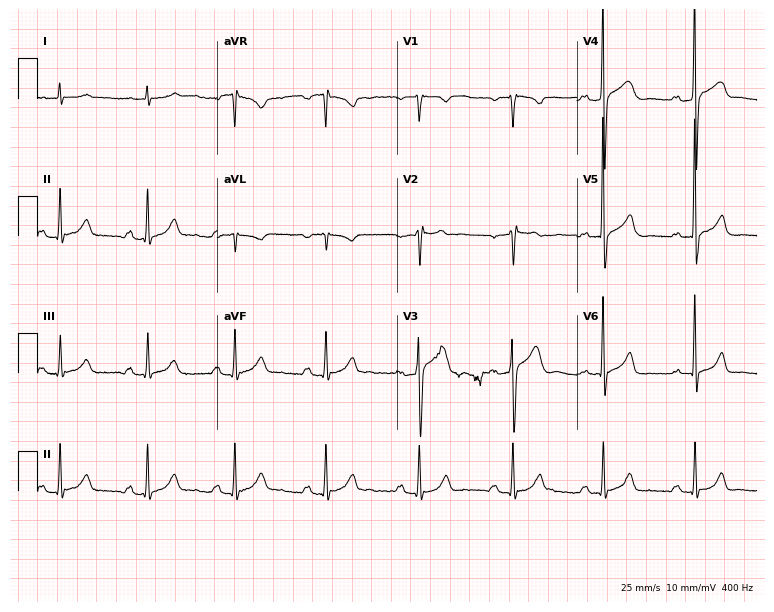
Standard 12-lead ECG recorded from a male, 50 years old. Read as a normal ECG.